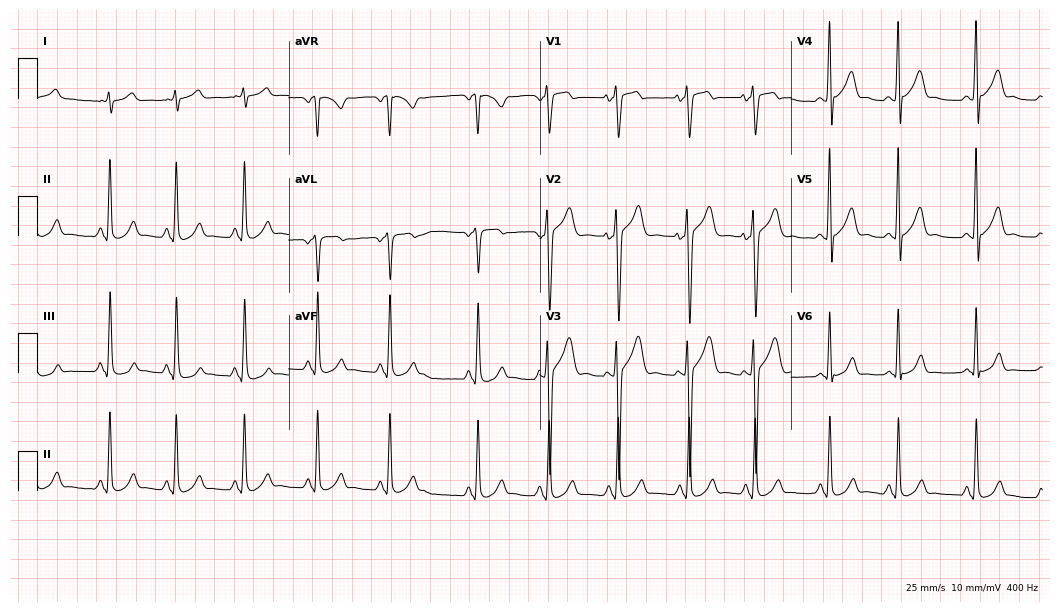
12-lead ECG from a 22-year-old male patient. Recorded interpretation: within normal limits.